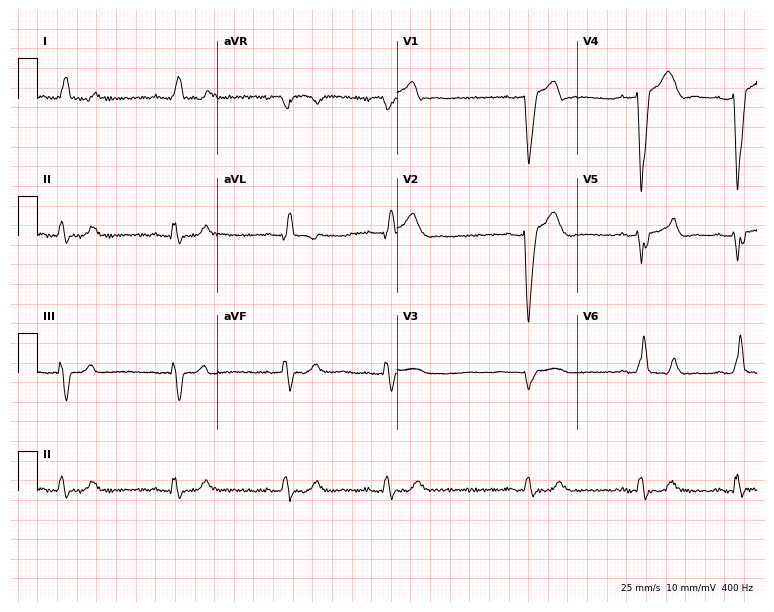
12-lead ECG from a male patient, 41 years old. Findings include left bundle branch block.